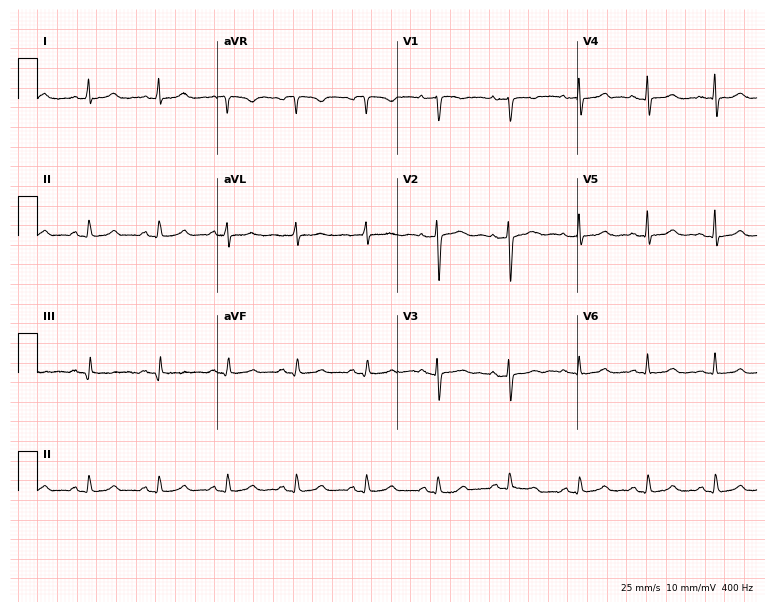
Electrocardiogram, a female, 47 years old. Overall reading on record: normal ECG.